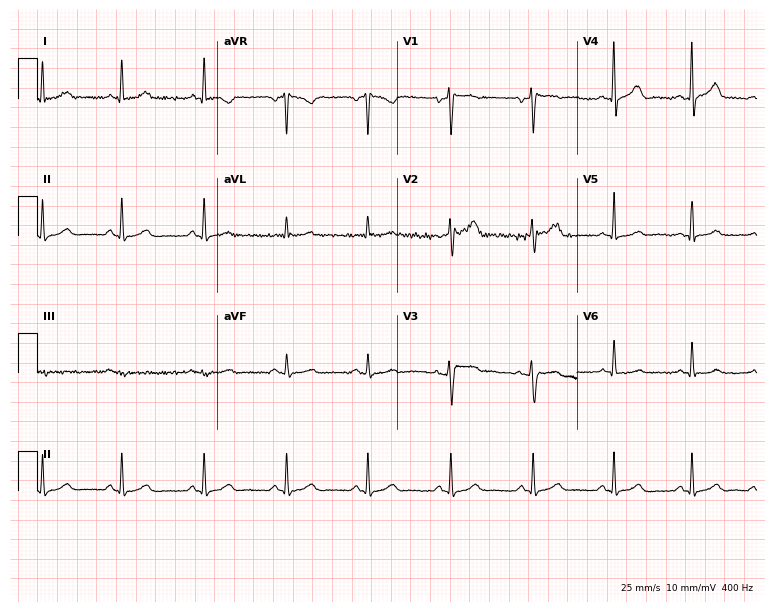
ECG (7.3-second recording at 400 Hz) — a 57-year-old male. Labelled as a normal ECG.